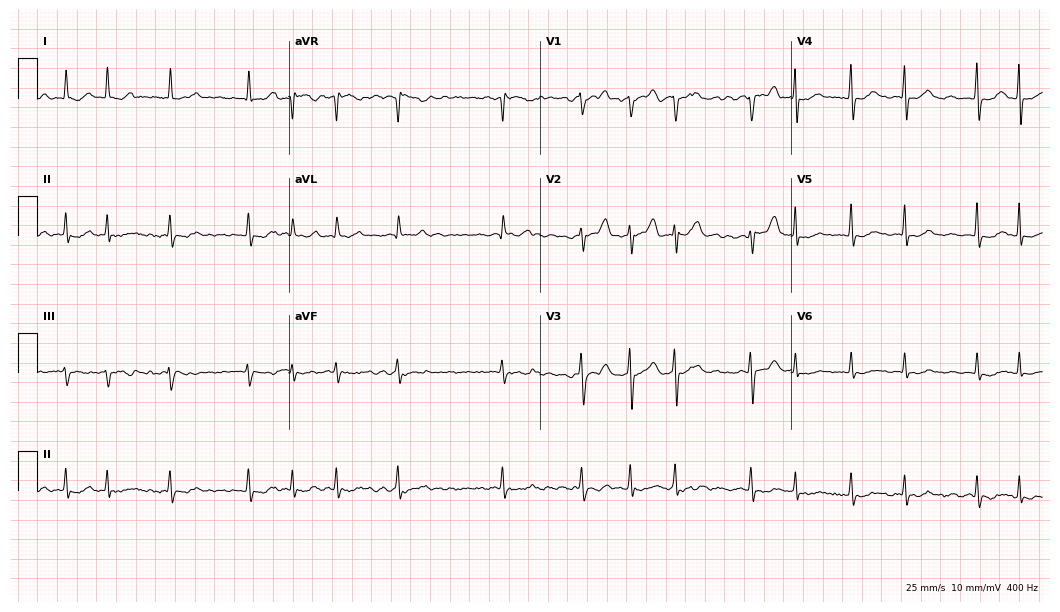
12-lead ECG (10.2-second recording at 400 Hz) from a woman, 61 years old. Findings include atrial fibrillation.